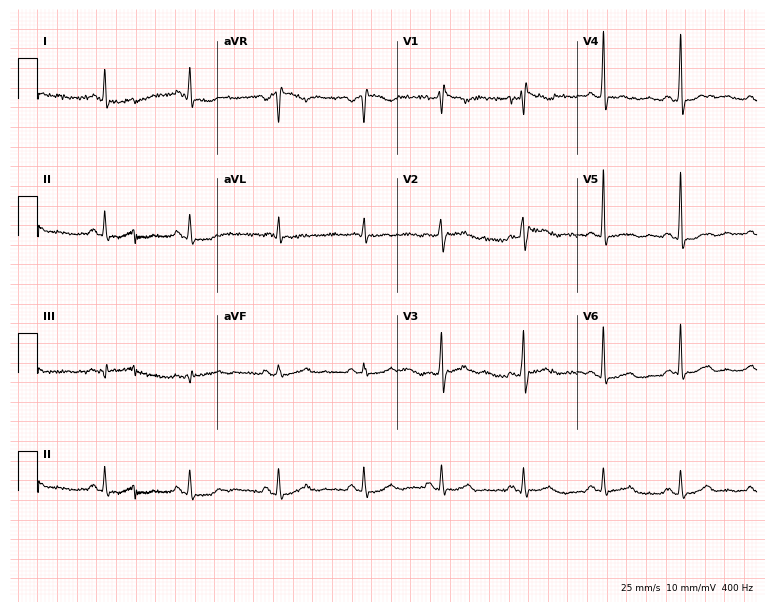
Standard 12-lead ECG recorded from a 65-year-old male. None of these six findings is recorded: first-degree AV block, right bundle branch block, left bundle branch block, sinus bradycardia, atrial fibrillation, sinus tachycardia.